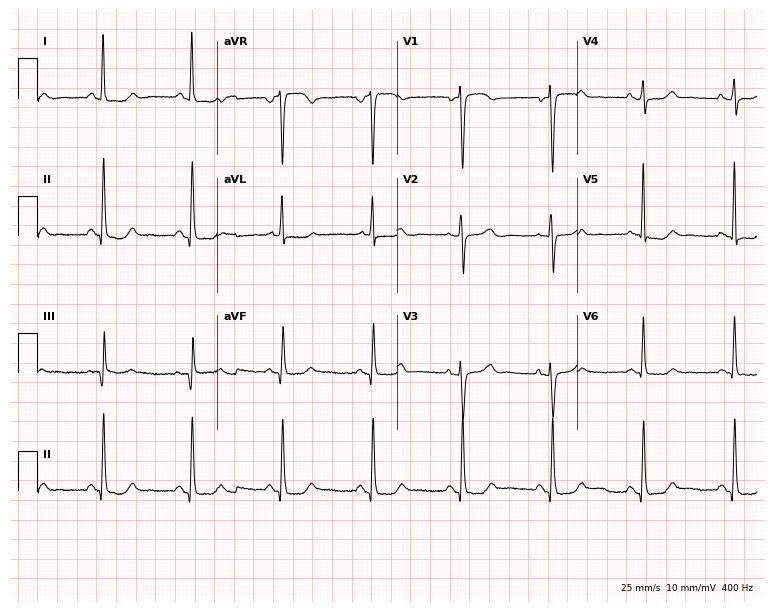
Resting 12-lead electrocardiogram. Patient: a female, 67 years old. Read as a normal ECG.